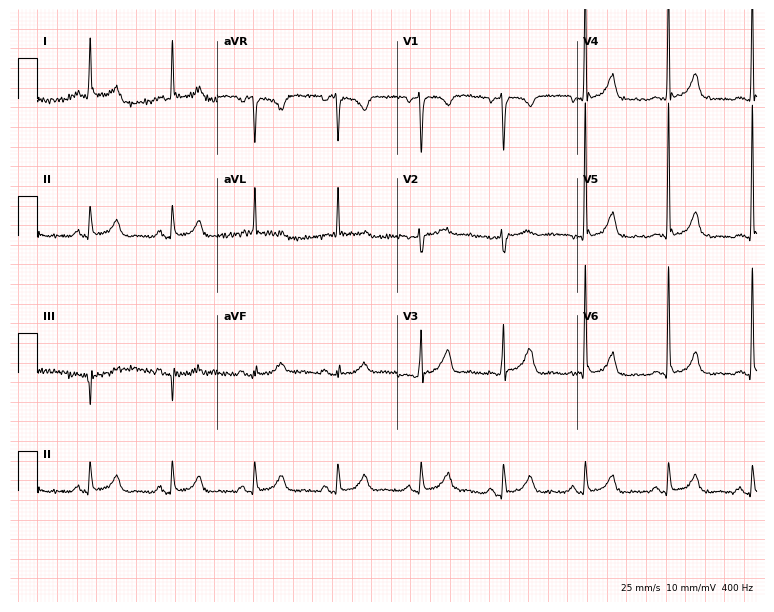
12-lead ECG from a female, 69 years old. No first-degree AV block, right bundle branch block, left bundle branch block, sinus bradycardia, atrial fibrillation or sinus tachycardia recorded for this tracing.